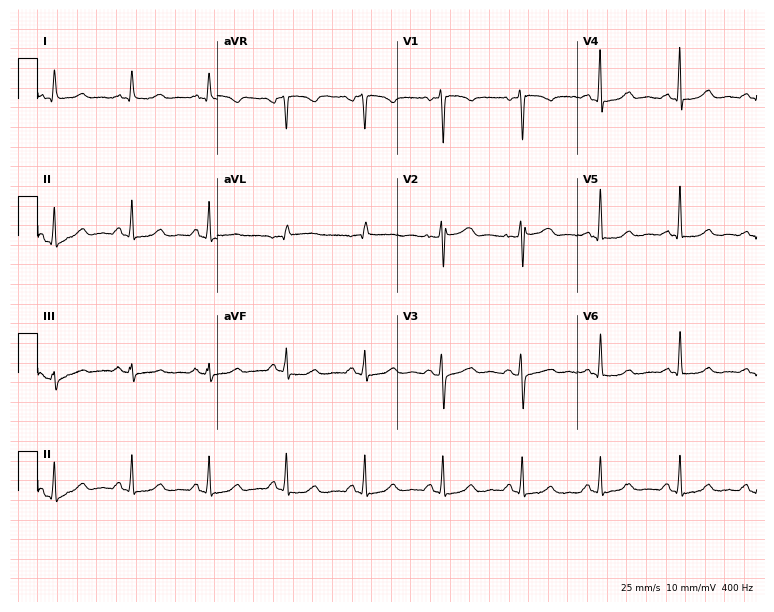
Electrocardiogram (7.3-second recording at 400 Hz), a 49-year-old woman. Overall reading on record: normal ECG.